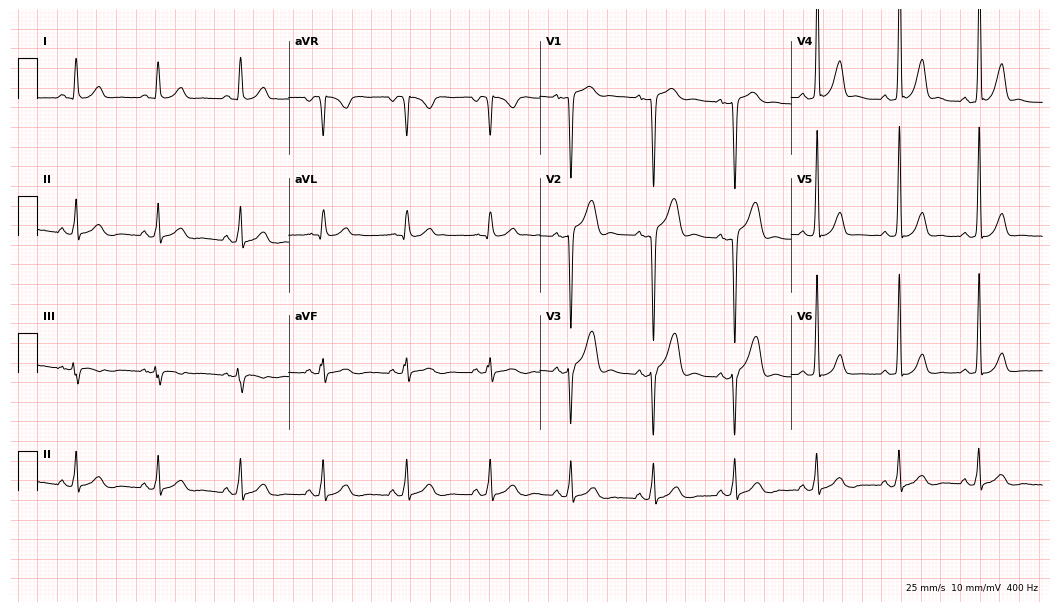
ECG (10.2-second recording at 400 Hz) — a man, 41 years old. Screened for six findings — first-degree AV block, right bundle branch block (RBBB), left bundle branch block (LBBB), sinus bradycardia, atrial fibrillation (AF), sinus tachycardia — none is recorded.